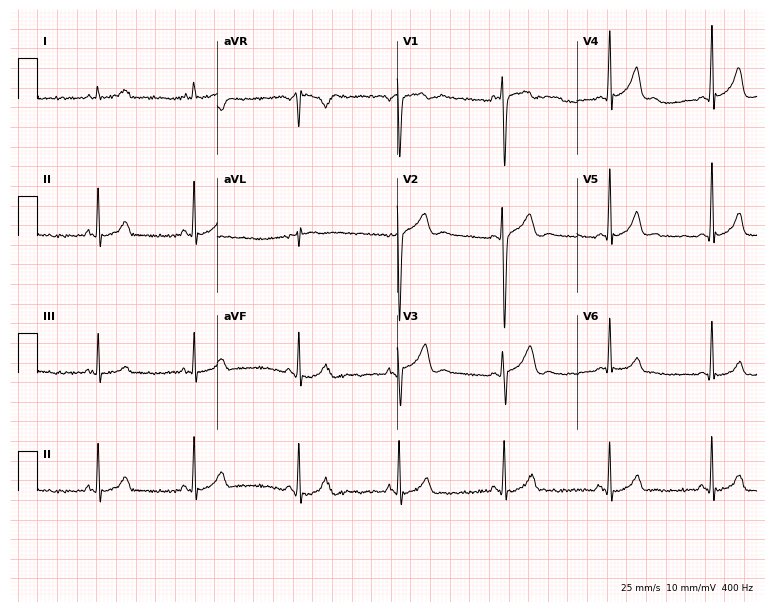
Standard 12-lead ECG recorded from a male patient, 24 years old. None of these six findings is recorded: first-degree AV block, right bundle branch block, left bundle branch block, sinus bradycardia, atrial fibrillation, sinus tachycardia.